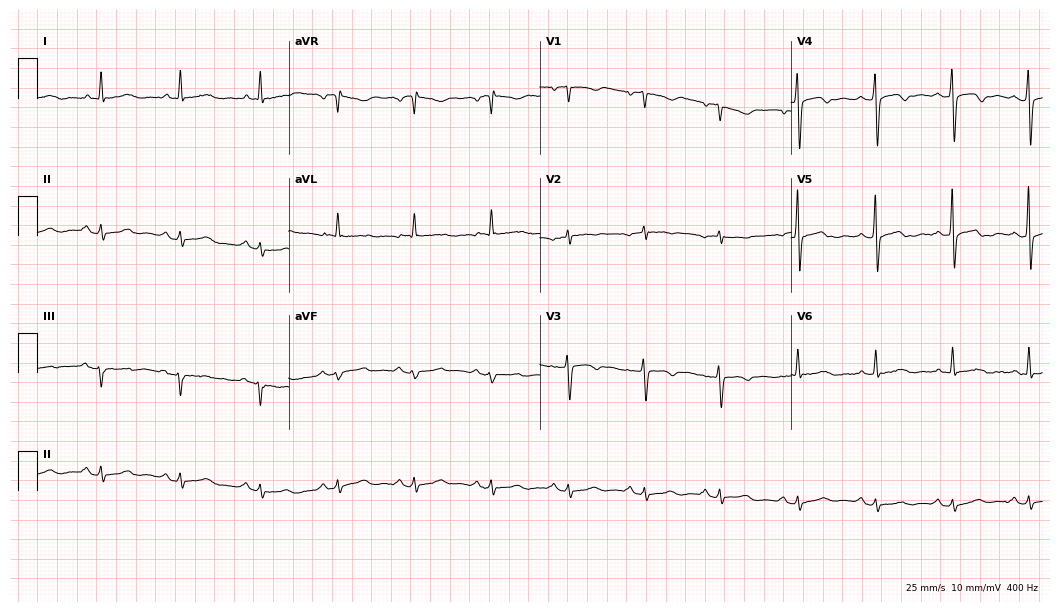
ECG — a female patient, 64 years old. Labelled as a normal ECG.